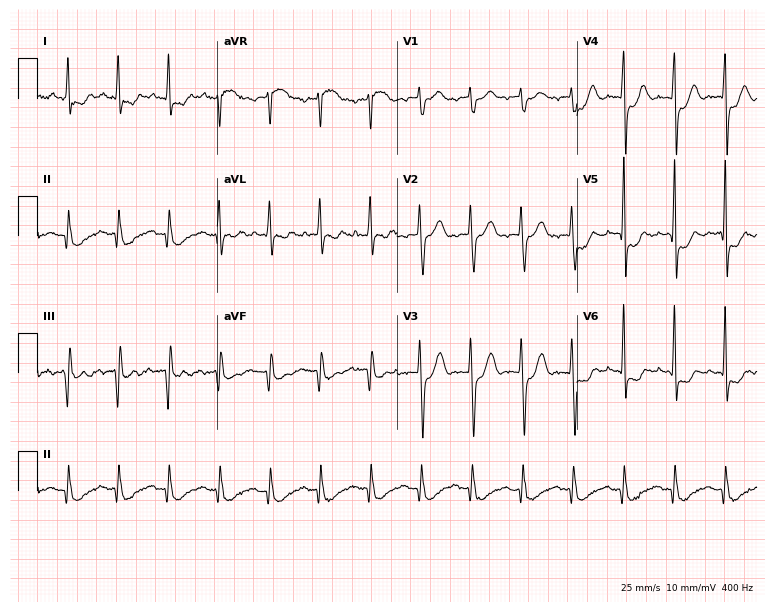
Resting 12-lead electrocardiogram. Patient: a 61-year-old man. The tracing shows sinus tachycardia (a sinus rate of 100 beats per minute or more).